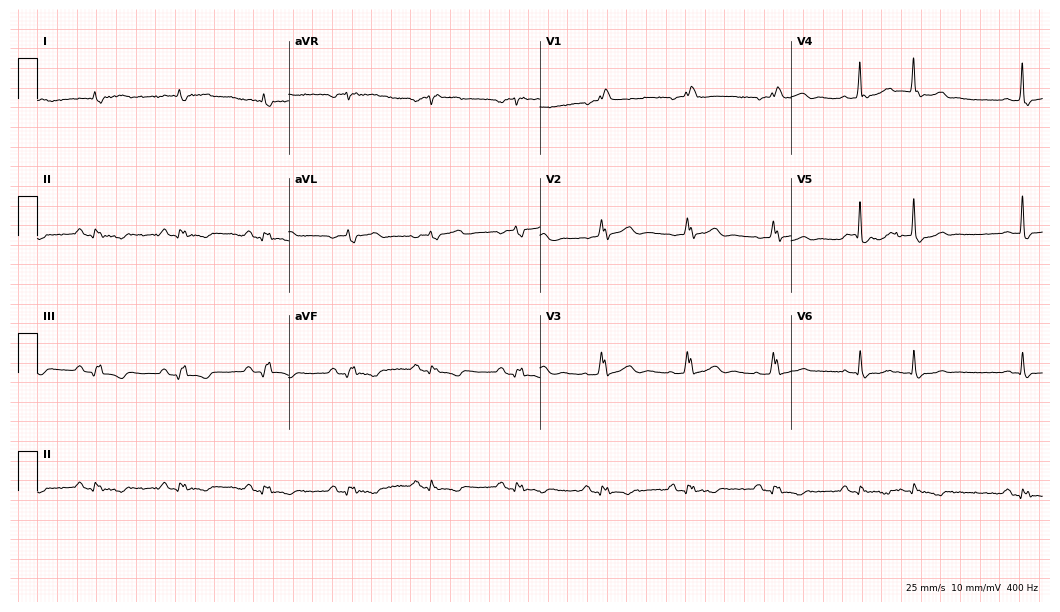
Resting 12-lead electrocardiogram (10.2-second recording at 400 Hz). Patient: an 82-year-old male. The tracing shows right bundle branch block (RBBB).